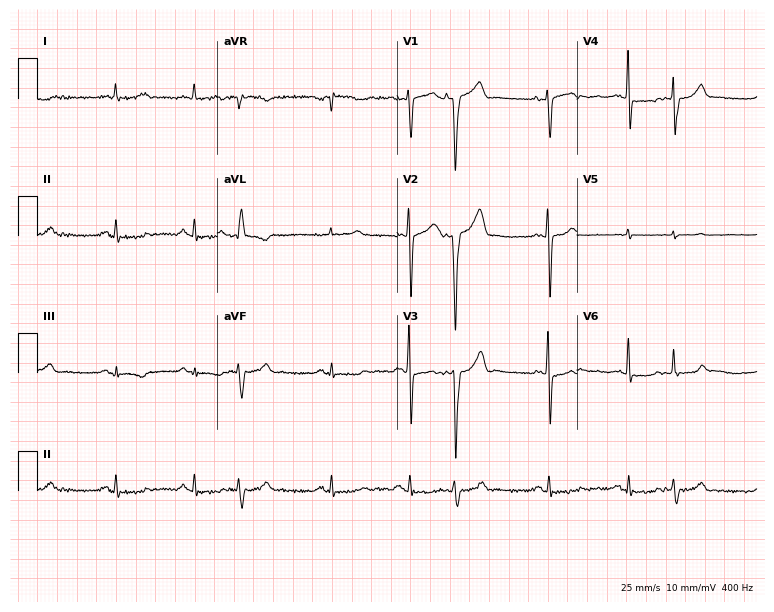
12-lead ECG from a man, 73 years old. Screened for six findings — first-degree AV block, right bundle branch block, left bundle branch block, sinus bradycardia, atrial fibrillation, sinus tachycardia — none is recorded. Findings outside these six are not listed.